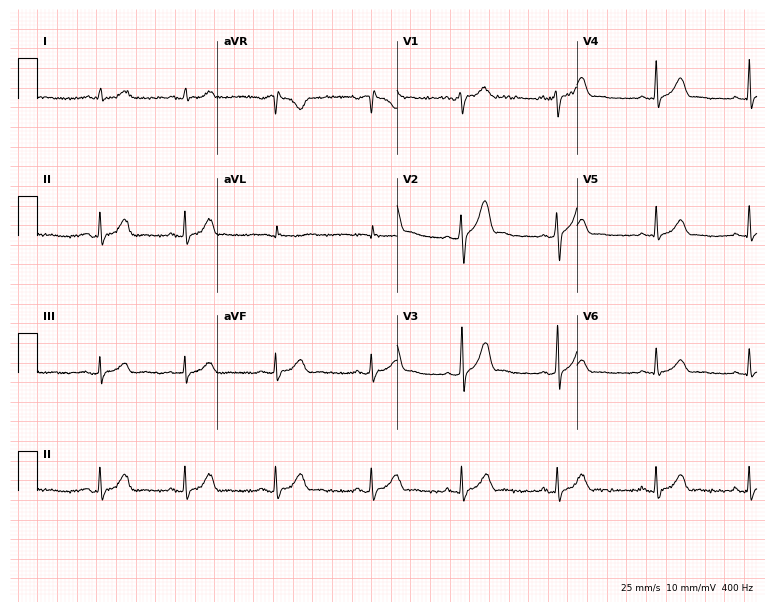
Standard 12-lead ECG recorded from a 39-year-old man. Read as a normal ECG.